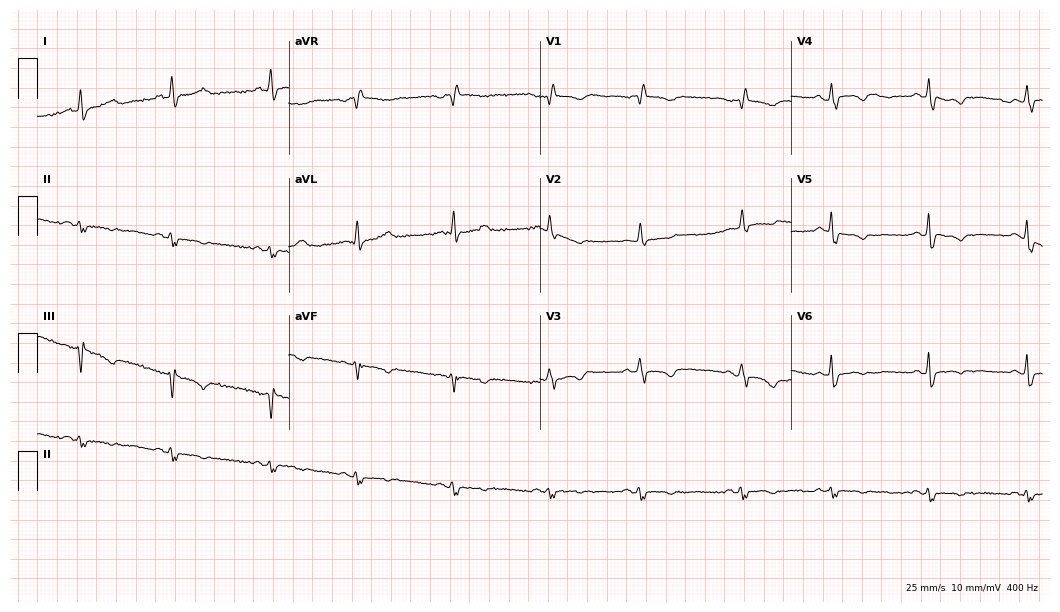
Electrocardiogram (10.2-second recording at 400 Hz), a male patient, 62 years old. Of the six screened findings (first-degree AV block, right bundle branch block (RBBB), left bundle branch block (LBBB), sinus bradycardia, atrial fibrillation (AF), sinus tachycardia), none is recorded.